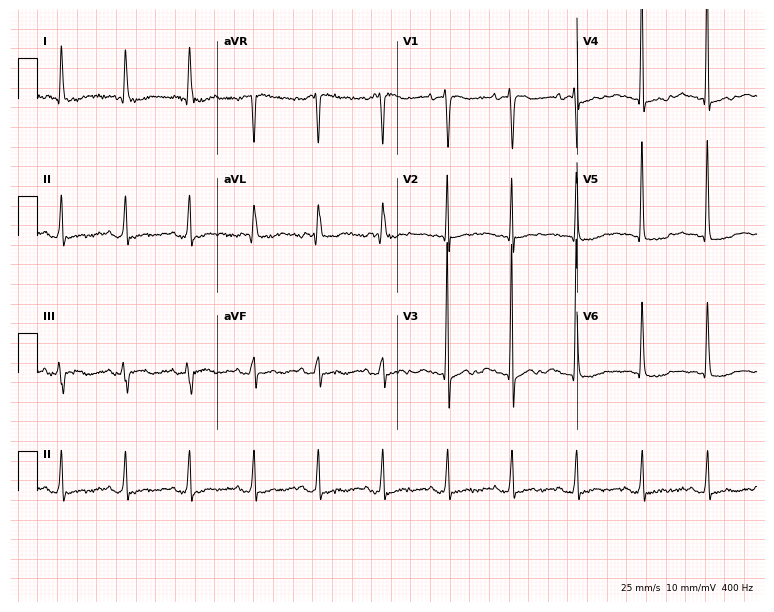
Electrocardiogram (7.3-second recording at 400 Hz), a 79-year-old female. Of the six screened findings (first-degree AV block, right bundle branch block (RBBB), left bundle branch block (LBBB), sinus bradycardia, atrial fibrillation (AF), sinus tachycardia), none is recorded.